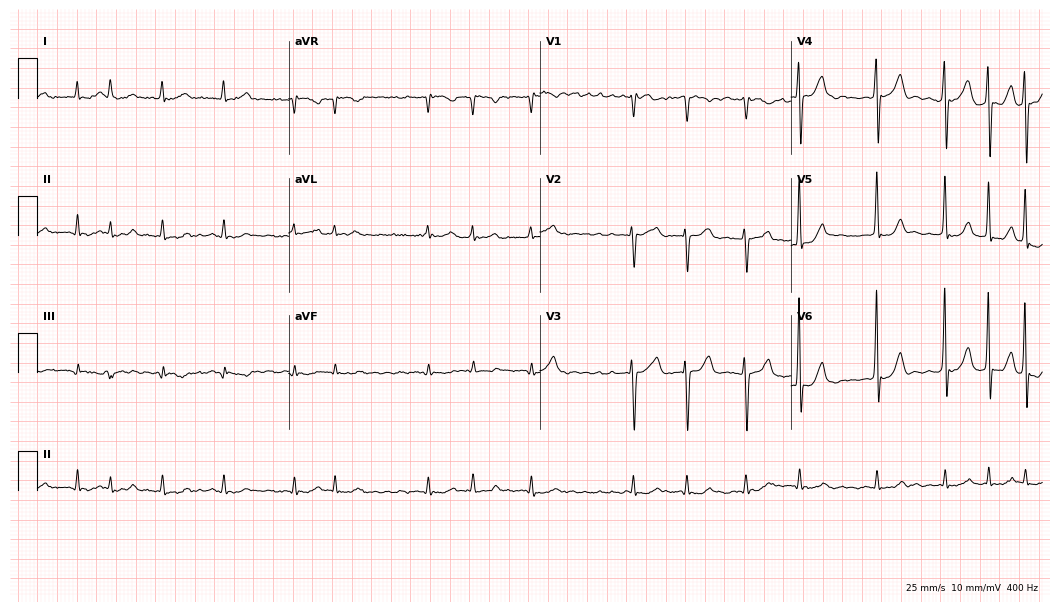
12-lead ECG from an 82-year-old man. Shows atrial fibrillation (AF).